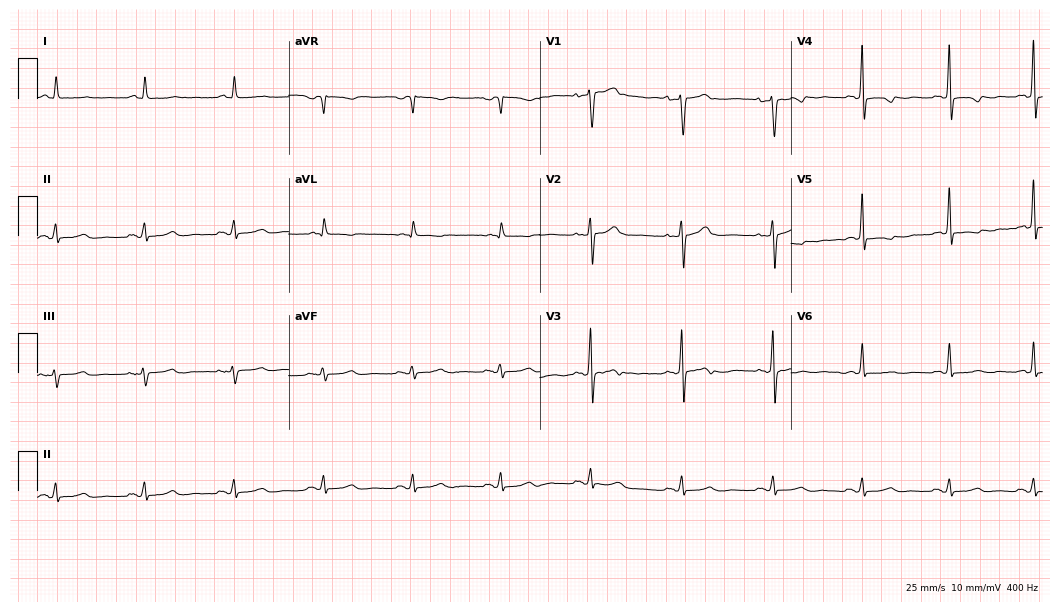
ECG — a 55-year-old female. Screened for six findings — first-degree AV block, right bundle branch block, left bundle branch block, sinus bradycardia, atrial fibrillation, sinus tachycardia — none is recorded.